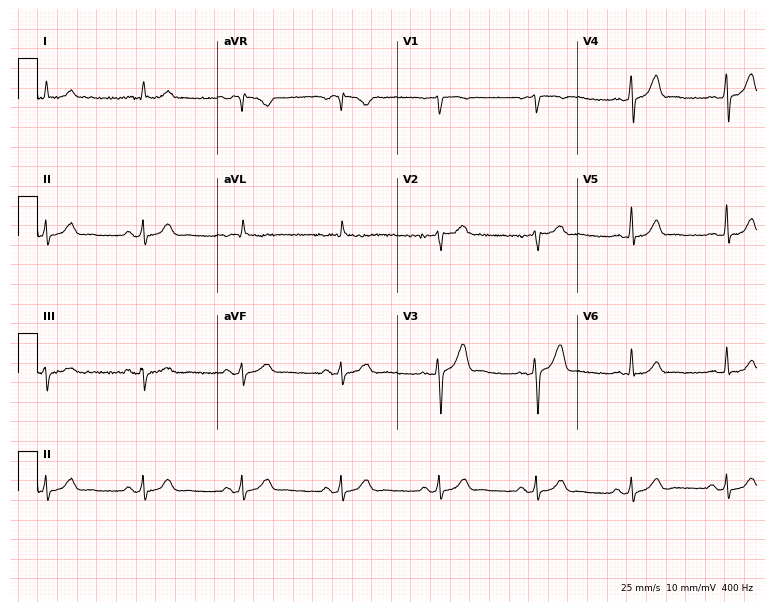
Resting 12-lead electrocardiogram. Patient: a 74-year-old male. Read as a normal ECG.